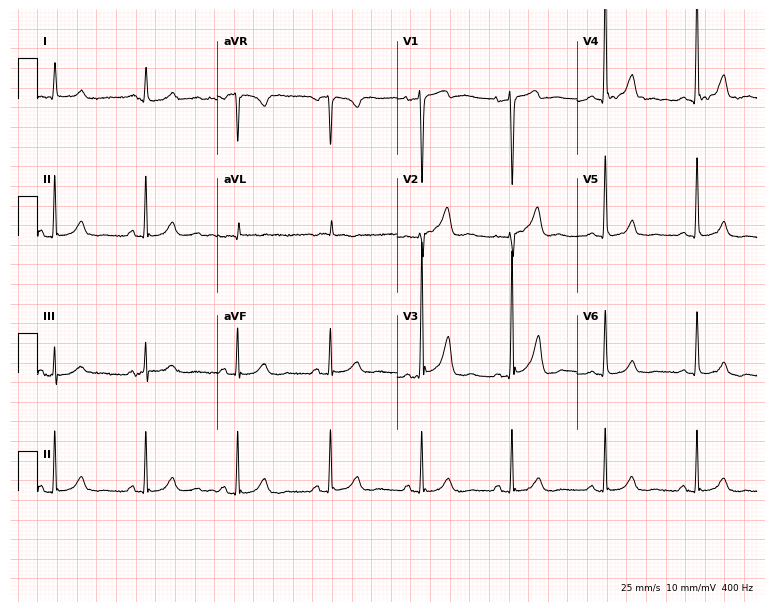
12-lead ECG from an 85-year-old male. Recorded interpretation: within normal limits.